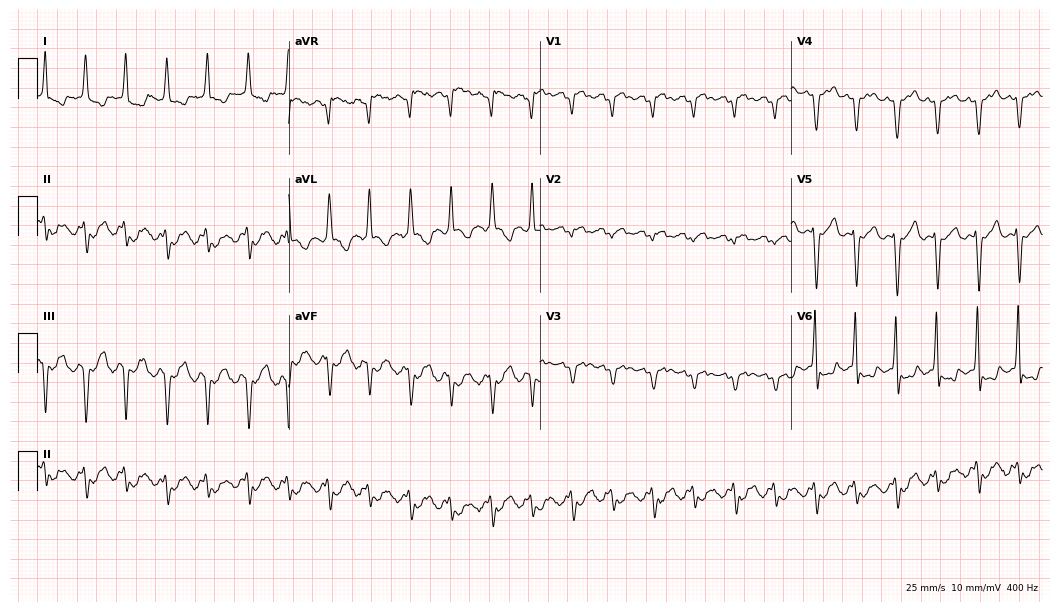
12-lead ECG from a female patient, 79 years old. No first-degree AV block, right bundle branch block (RBBB), left bundle branch block (LBBB), sinus bradycardia, atrial fibrillation (AF) or sinus tachycardia recorded for this tracing.